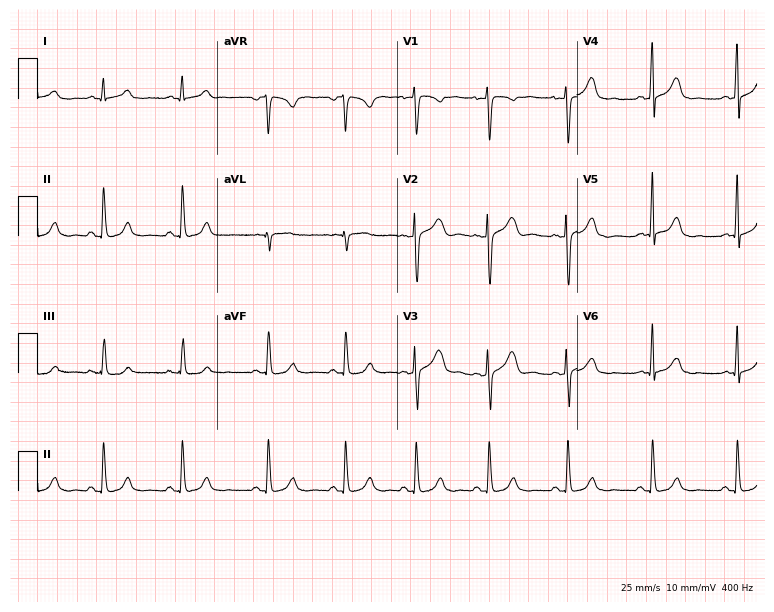
12-lead ECG from a 31-year-old woman (7.3-second recording at 400 Hz). Recorded interpretation: within normal limits.